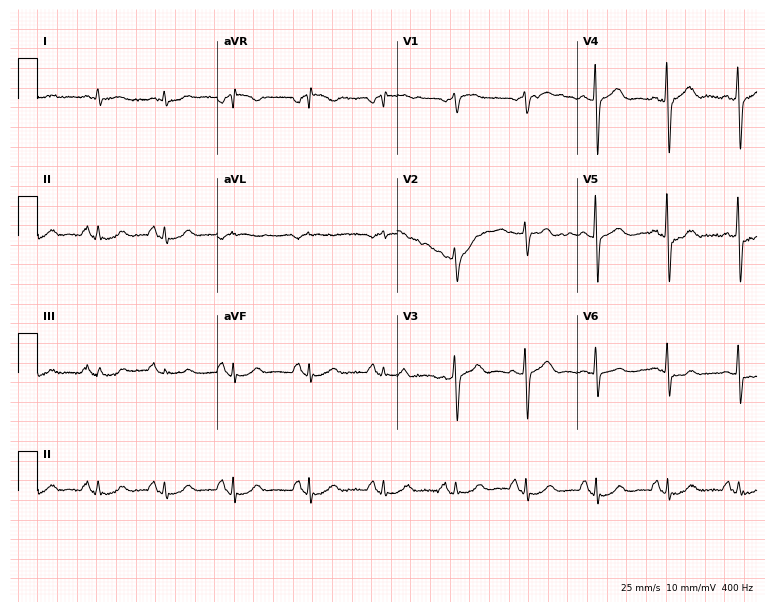
Standard 12-lead ECG recorded from a 71-year-old man. Read as a normal ECG.